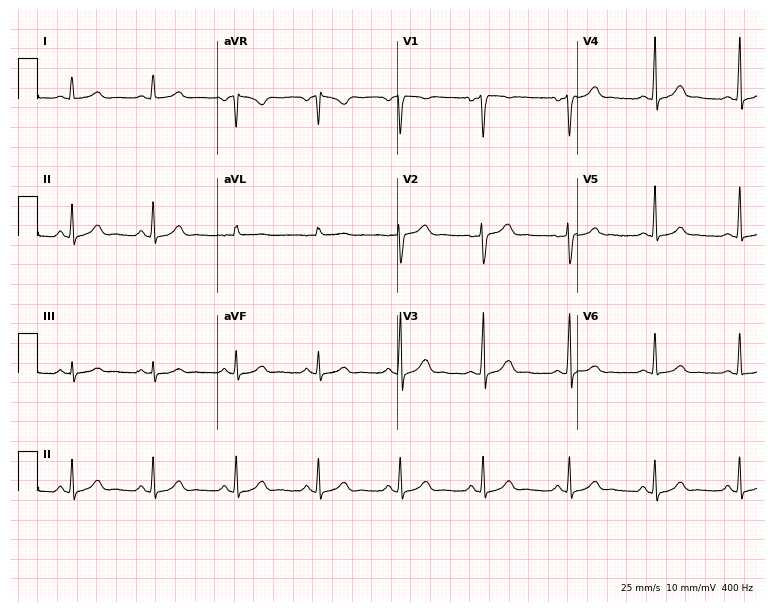
ECG — a 34-year-old man. Labelled as a normal ECG.